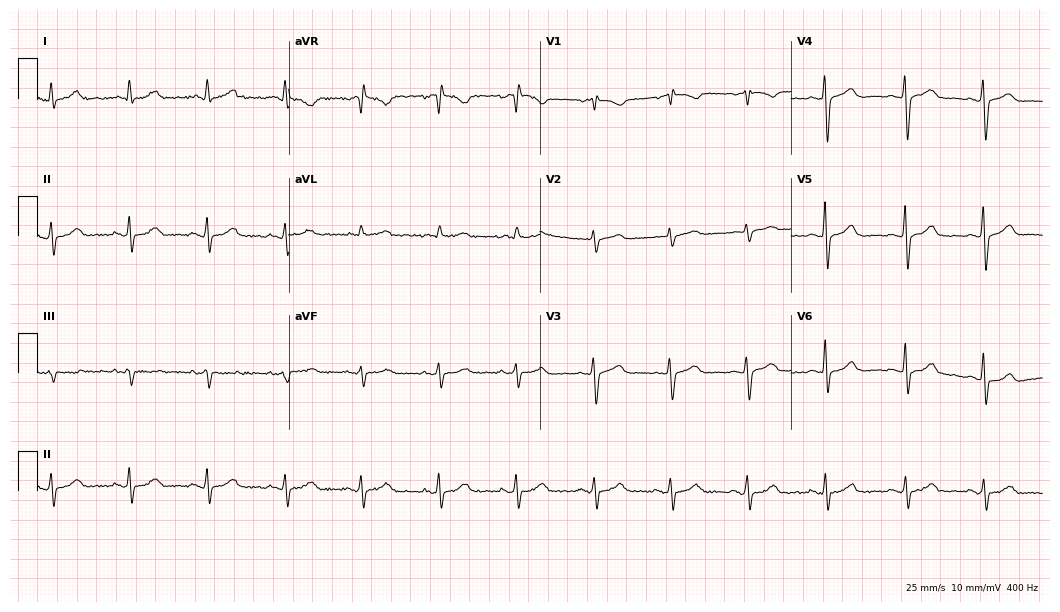
12-lead ECG from a female, 71 years old. No first-degree AV block, right bundle branch block, left bundle branch block, sinus bradycardia, atrial fibrillation or sinus tachycardia recorded for this tracing. Only these six findings were labelled.